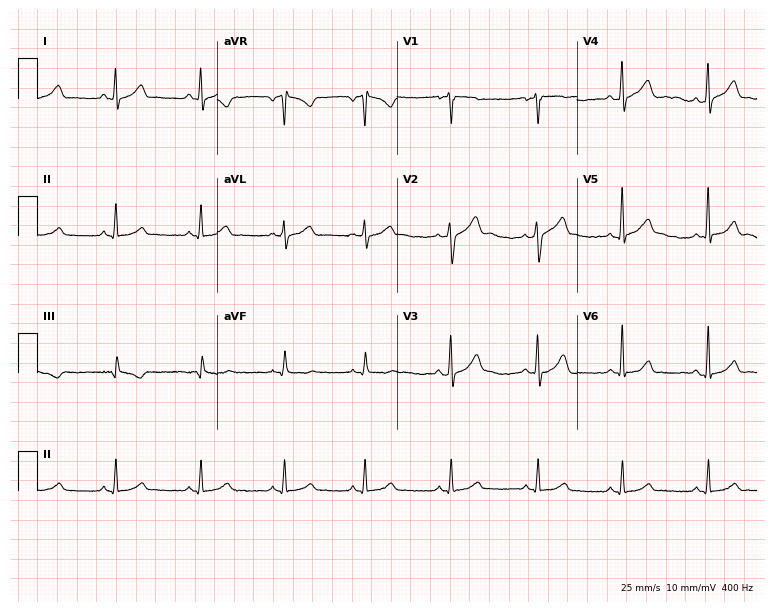
Resting 12-lead electrocardiogram. Patient: a 31-year-old male. Read as a normal ECG.